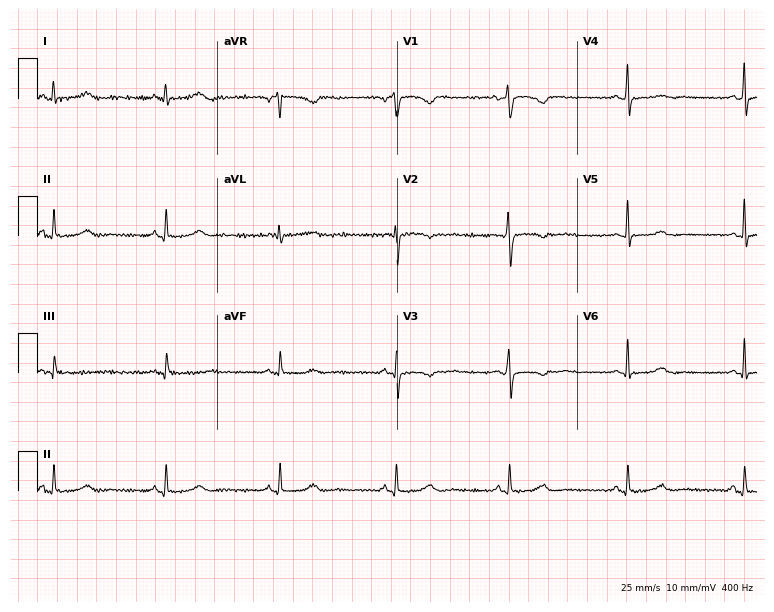
12-lead ECG from a female patient, 31 years old (7.3-second recording at 400 Hz). Recorded interpretation: within normal limits.